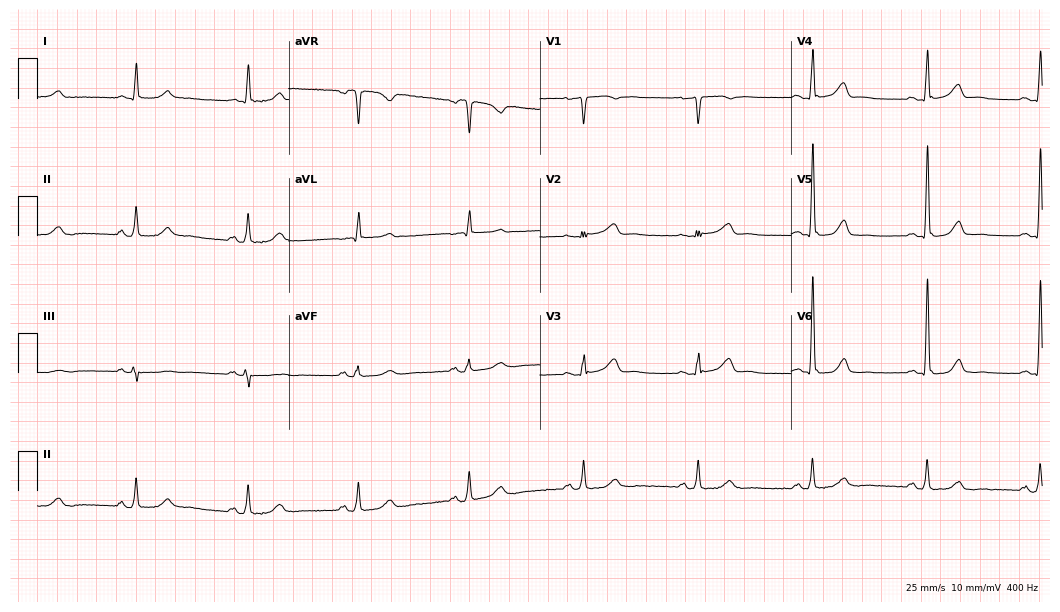
12-lead ECG from a 68-year-old female patient. Labelled as a normal ECG.